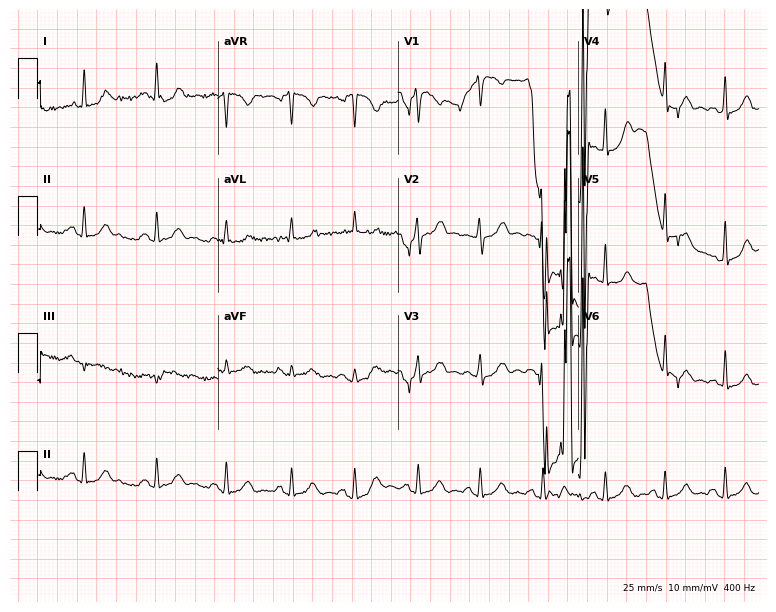
12-lead ECG from a woman, 20 years old. Screened for six findings — first-degree AV block, right bundle branch block, left bundle branch block, sinus bradycardia, atrial fibrillation, sinus tachycardia — none is recorded.